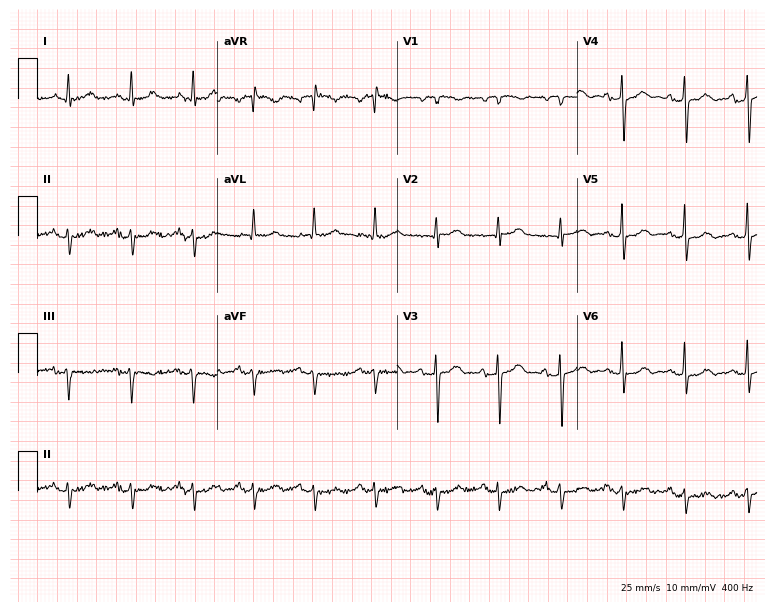
Resting 12-lead electrocardiogram (7.3-second recording at 400 Hz). Patient: a man, 61 years old. None of these six findings is recorded: first-degree AV block, right bundle branch block, left bundle branch block, sinus bradycardia, atrial fibrillation, sinus tachycardia.